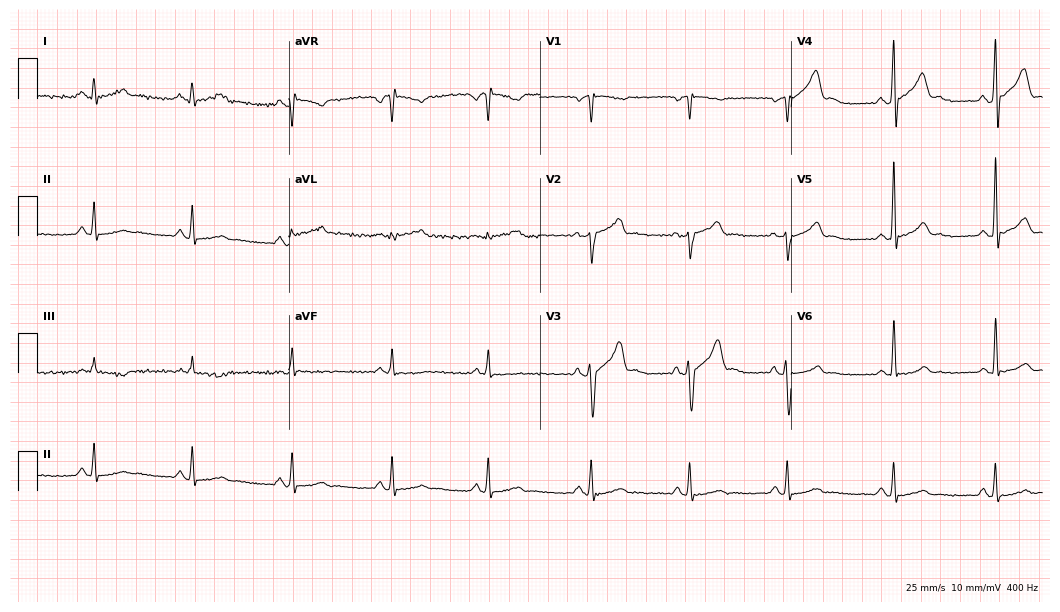
Electrocardiogram, a 35-year-old male patient. Overall reading on record: normal ECG.